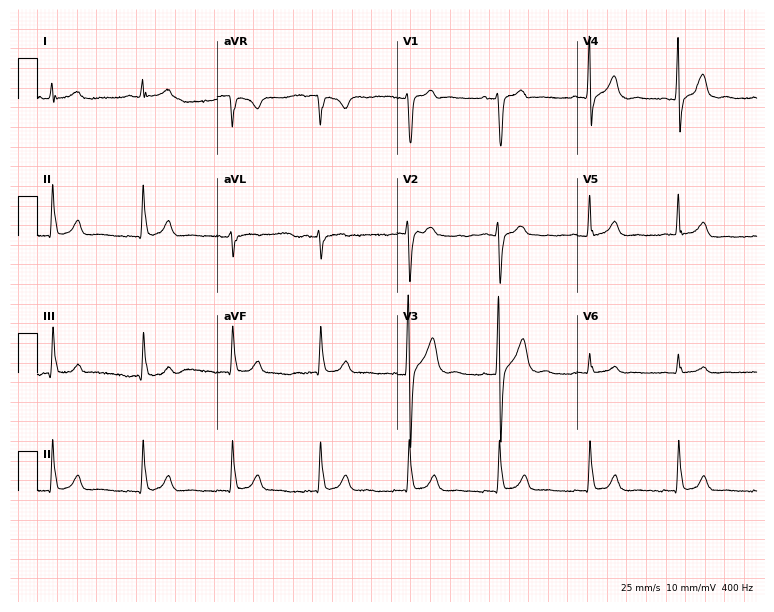
Electrocardiogram (7.3-second recording at 400 Hz), a man, 53 years old. Overall reading on record: normal ECG.